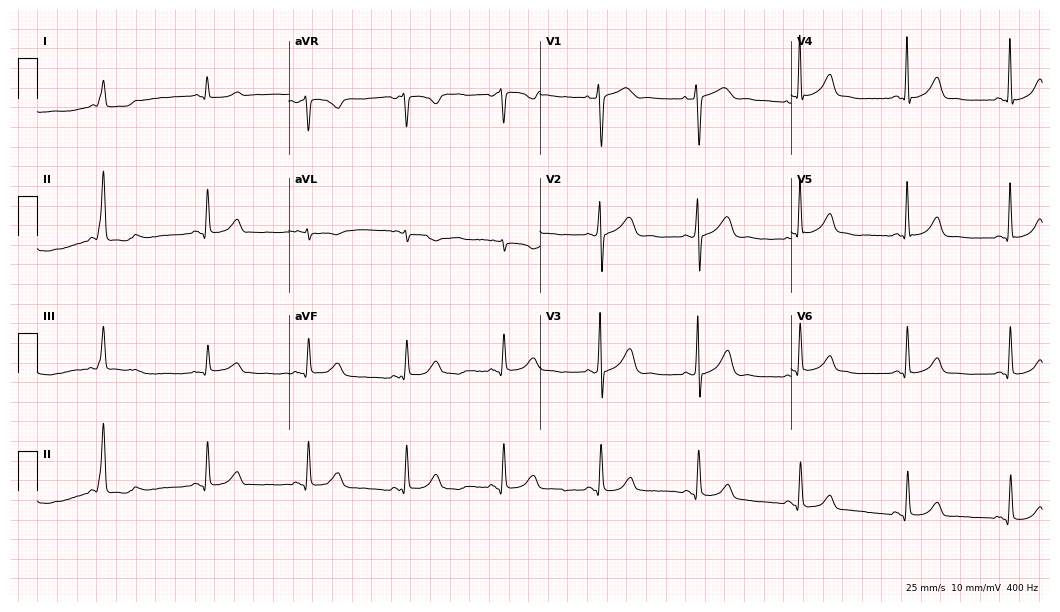
12-lead ECG from a 52-year-old female patient. No first-degree AV block, right bundle branch block, left bundle branch block, sinus bradycardia, atrial fibrillation or sinus tachycardia recorded for this tracing. Only these six findings were labelled.